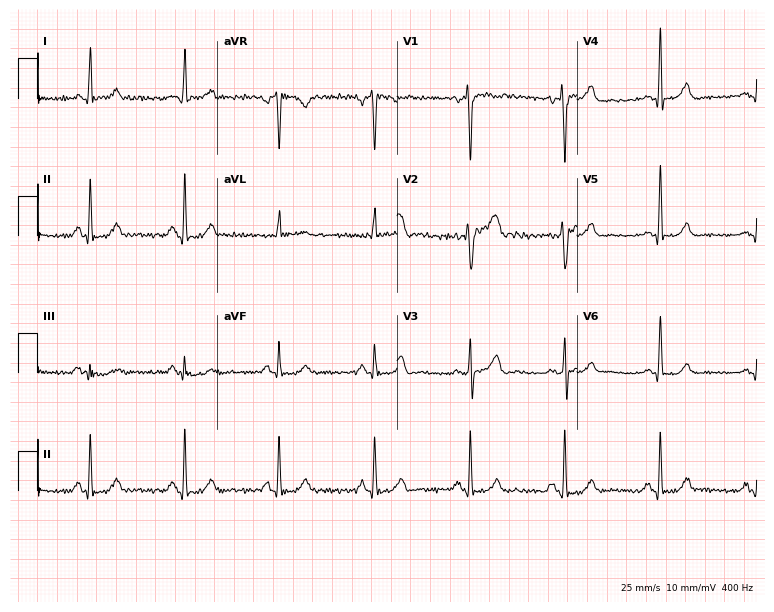
Resting 12-lead electrocardiogram. Patient: a 46-year-old male. Read as a normal ECG.